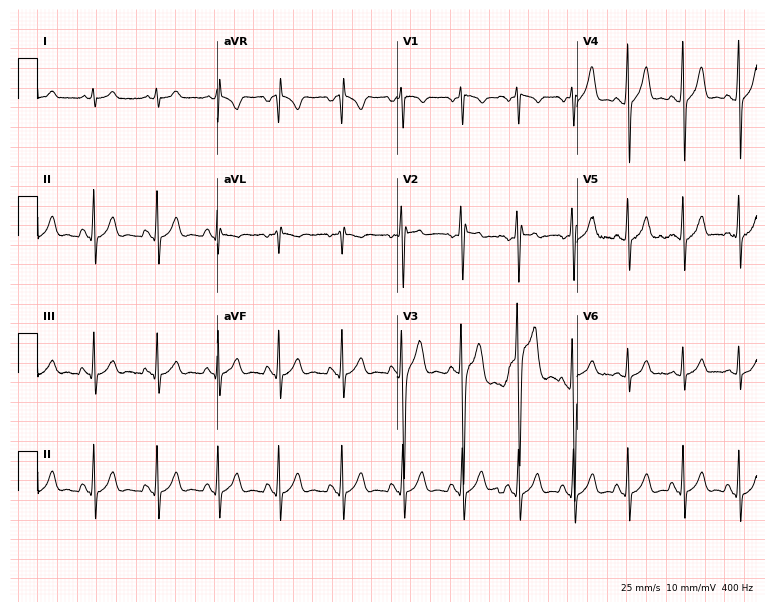
12-lead ECG from a male, 17 years old (7.3-second recording at 400 Hz). Recorded interpretation: within normal limits.